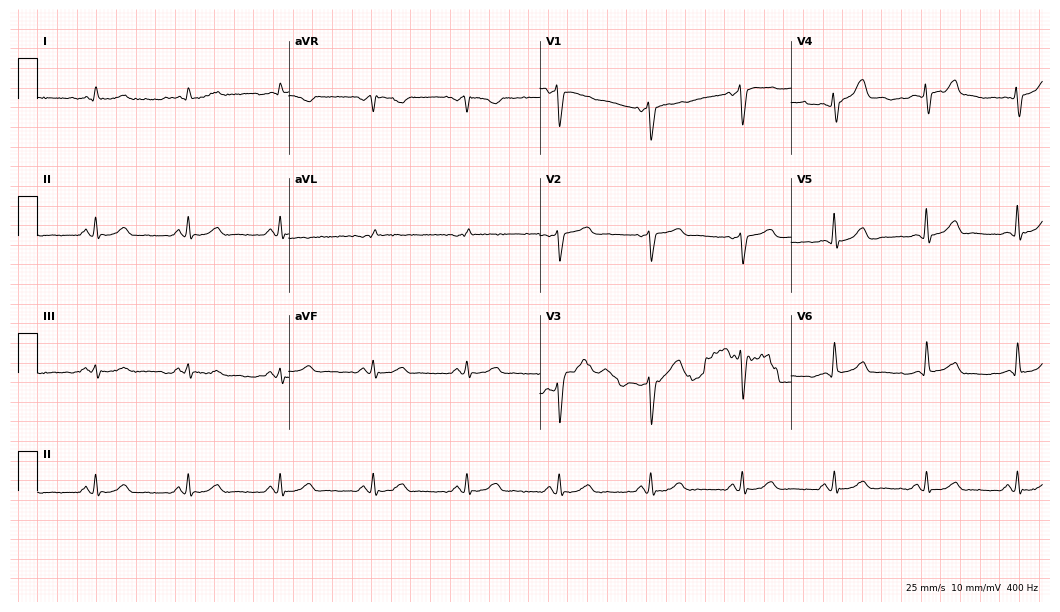
Resting 12-lead electrocardiogram (10.2-second recording at 400 Hz). Patient: a male, 55 years old. Read as a normal ECG.